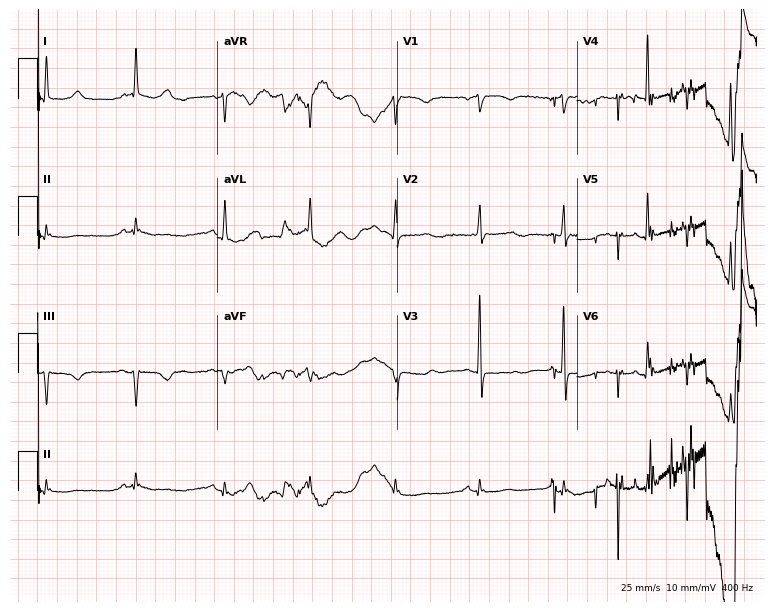
12-lead ECG (7.3-second recording at 400 Hz) from an 80-year-old female patient. Labelled as a normal ECG.